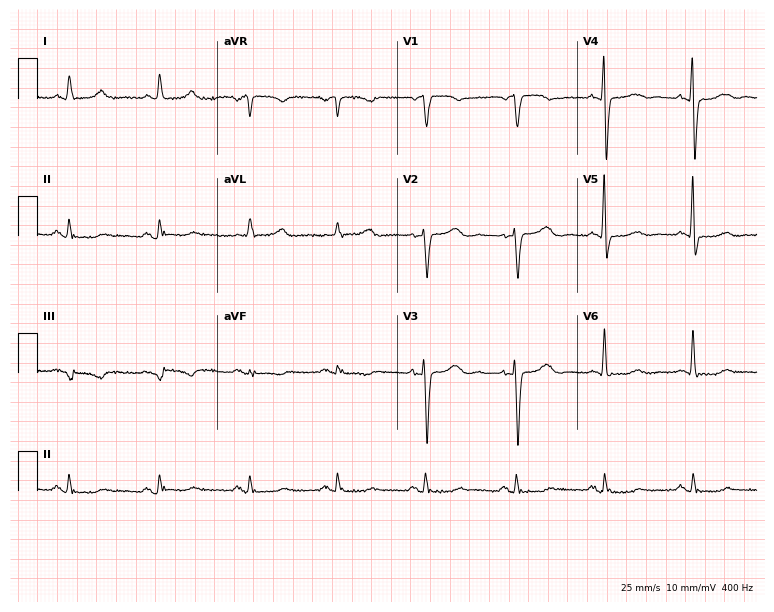
Resting 12-lead electrocardiogram (7.3-second recording at 400 Hz). Patient: an 82-year-old female. None of these six findings is recorded: first-degree AV block, right bundle branch block (RBBB), left bundle branch block (LBBB), sinus bradycardia, atrial fibrillation (AF), sinus tachycardia. Findings outside these six are not listed.